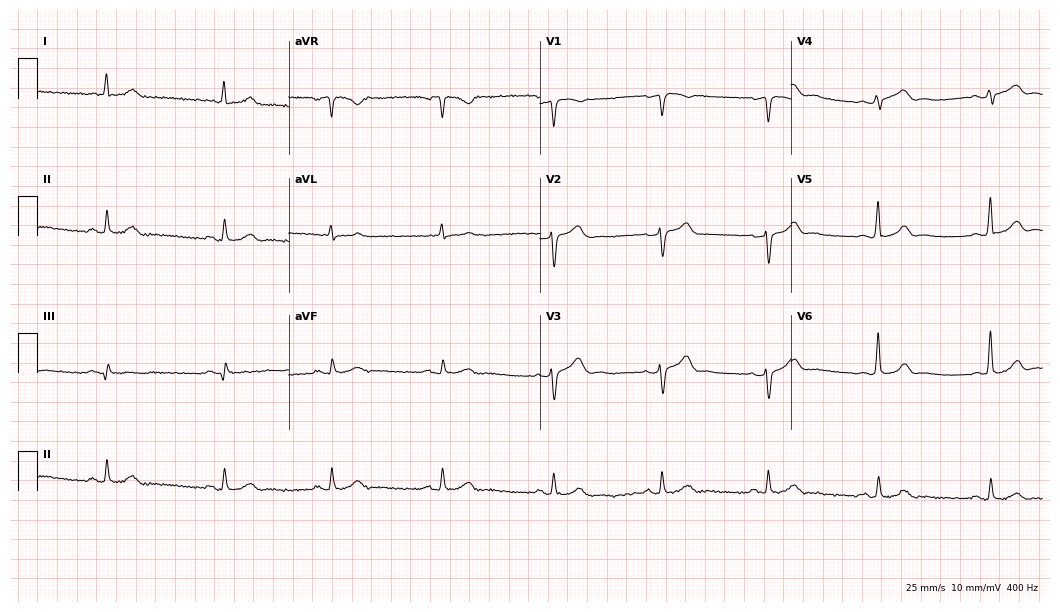
Resting 12-lead electrocardiogram. Patient: a male, 47 years old. None of these six findings is recorded: first-degree AV block, right bundle branch block, left bundle branch block, sinus bradycardia, atrial fibrillation, sinus tachycardia. Other findings, if any, are not listed.